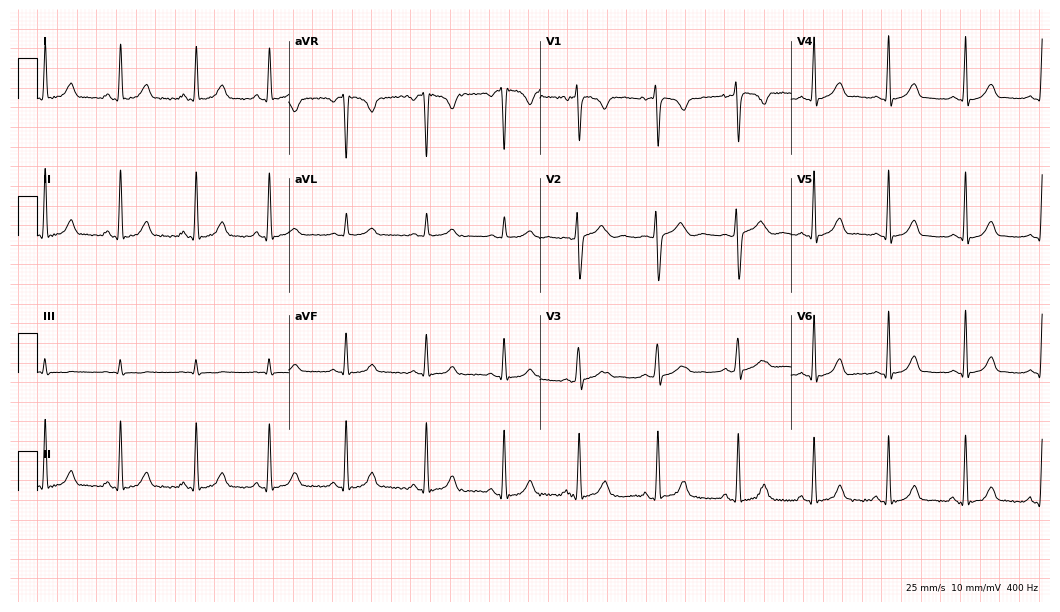
12-lead ECG from a female patient, 23 years old (10.2-second recording at 400 Hz). Recorded interpretation: within normal limits.